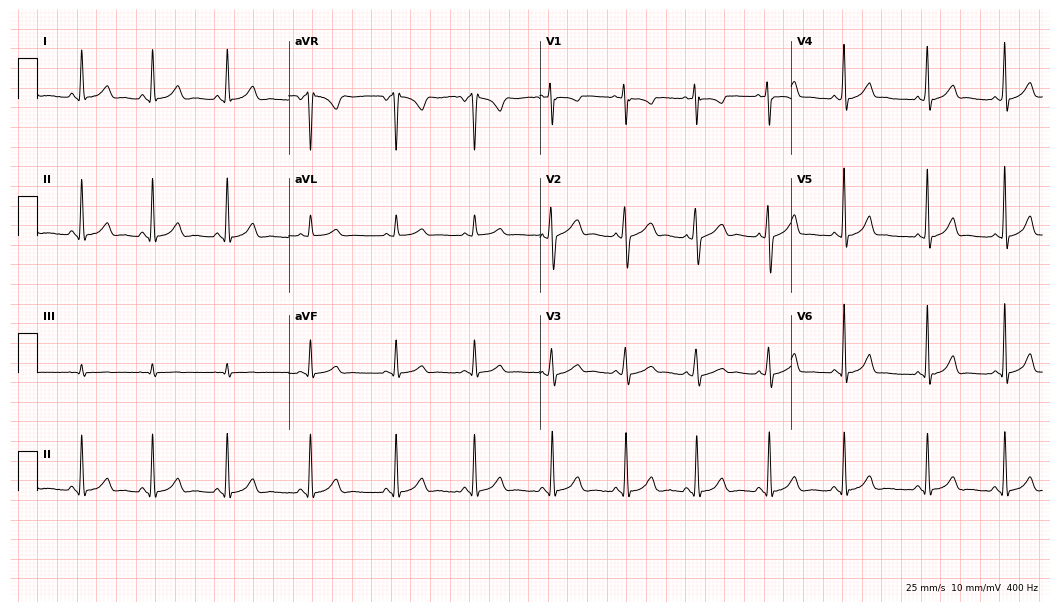
12-lead ECG from an 18-year-old woman (10.2-second recording at 400 Hz). Recorded interpretation: within normal limits.